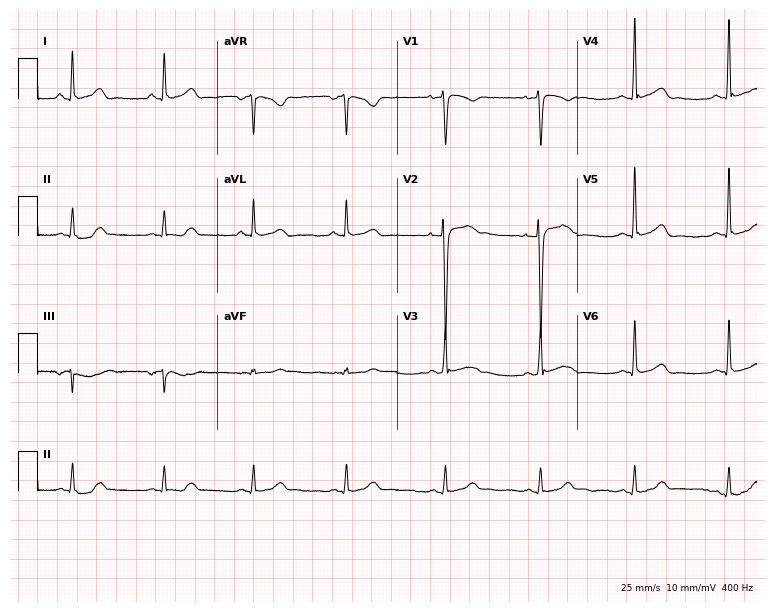
12-lead ECG from a male, 20 years old. Recorded interpretation: within normal limits.